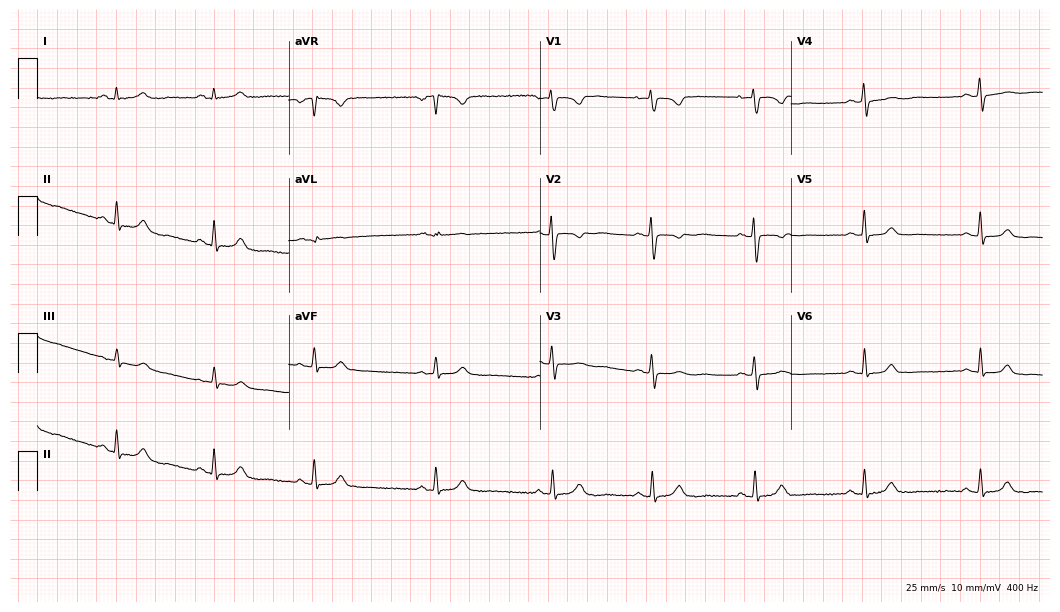
Standard 12-lead ECG recorded from a man, 40 years old (10.2-second recording at 400 Hz). Read as a normal ECG.